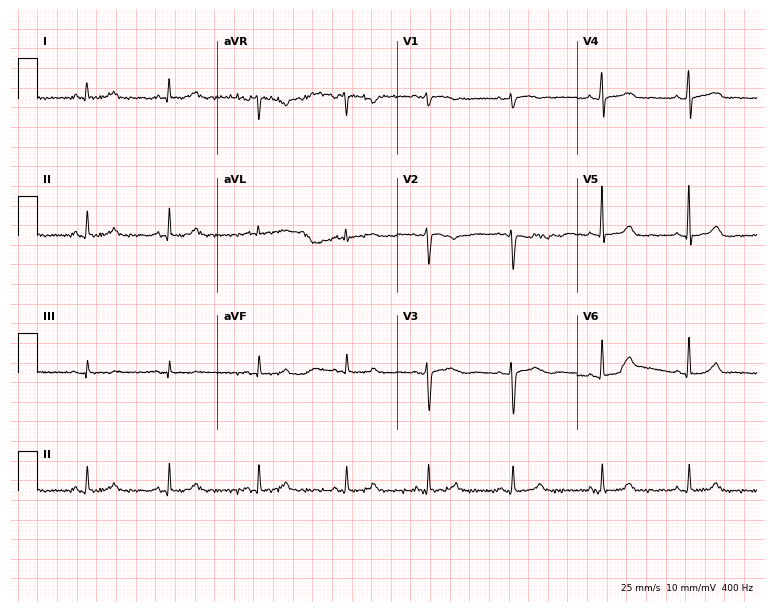
ECG (7.3-second recording at 400 Hz) — a 40-year-old female. Screened for six findings — first-degree AV block, right bundle branch block, left bundle branch block, sinus bradycardia, atrial fibrillation, sinus tachycardia — none is recorded. Other findings, if any, are not listed.